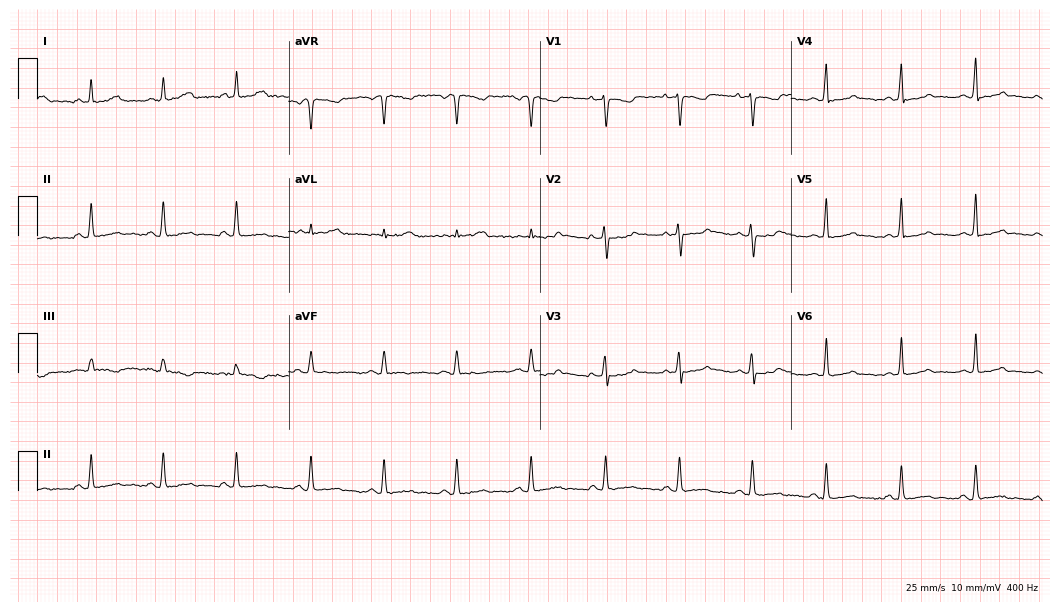
Electrocardiogram, a woman, 40 years old. Overall reading on record: normal ECG.